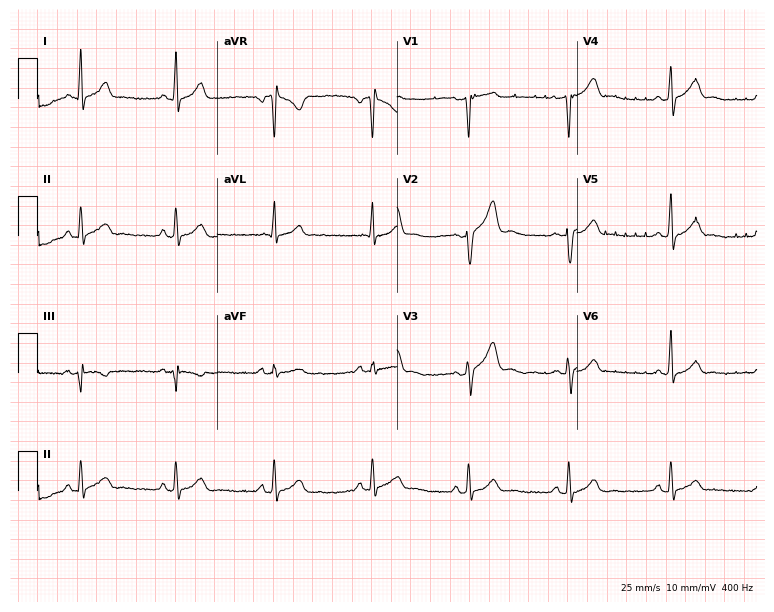
12-lead ECG from a male patient, 22 years old. Labelled as a normal ECG.